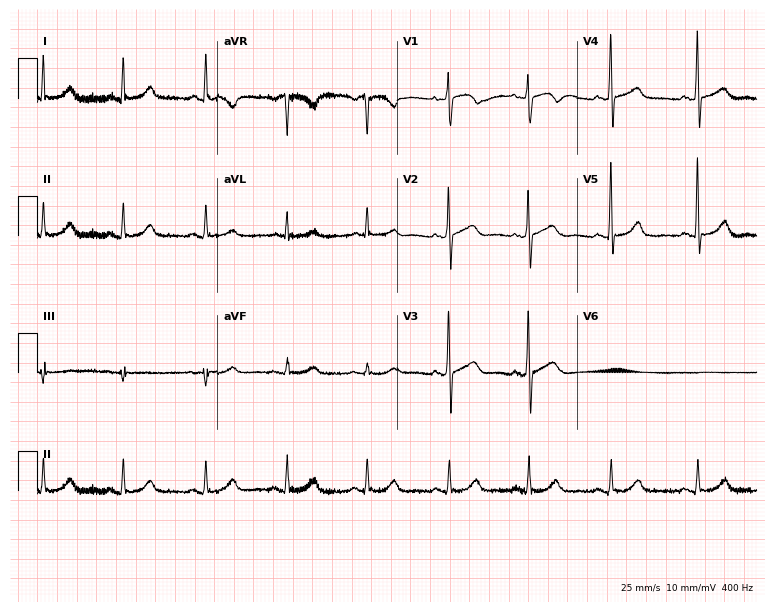
12-lead ECG from a woman, 62 years old (7.3-second recording at 400 Hz). No first-degree AV block, right bundle branch block, left bundle branch block, sinus bradycardia, atrial fibrillation or sinus tachycardia recorded for this tracing.